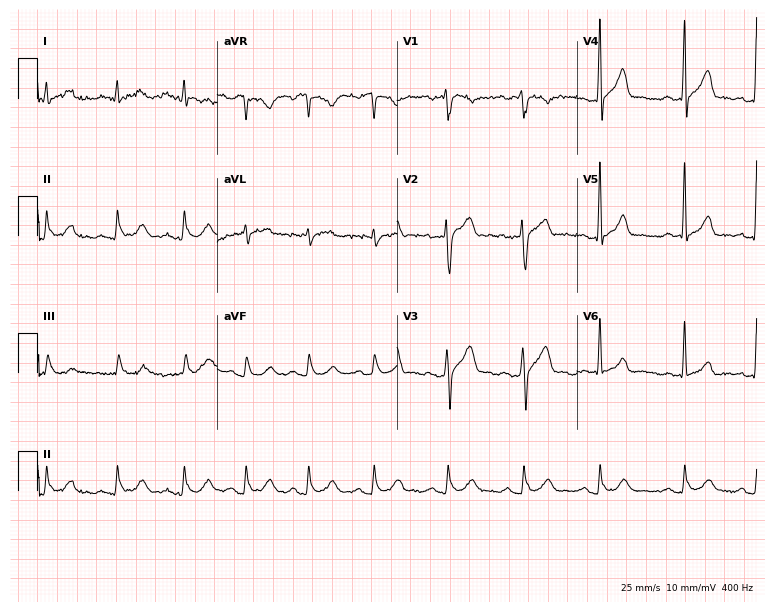
Electrocardiogram, a male, 33 years old. Overall reading on record: normal ECG.